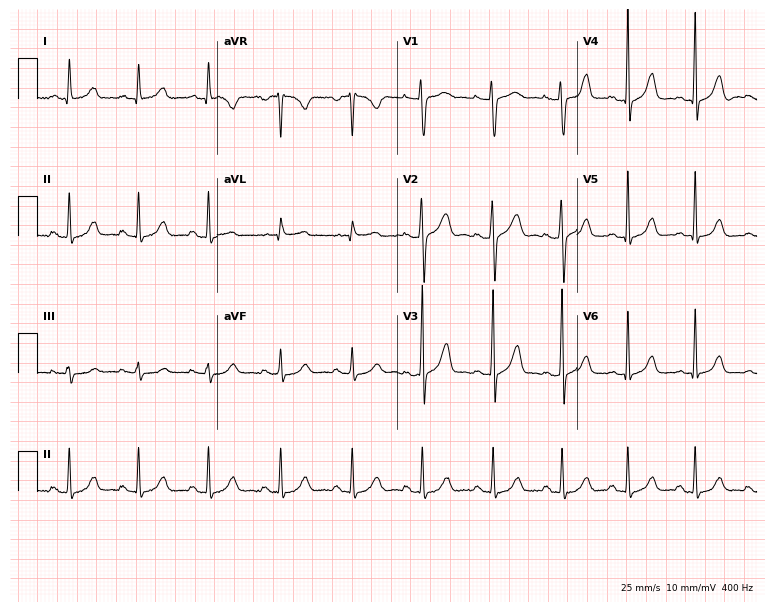
12-lead ECG from a woman, 24 years old. Screened for six findings — first-degree AV block, right bundle branch block (RBBB), left bundle branch block (LBBB), sinus bradycardia, atrial fibrillation (AF), sinus tachycardia — none is recorded. Only these six findings were labelled.